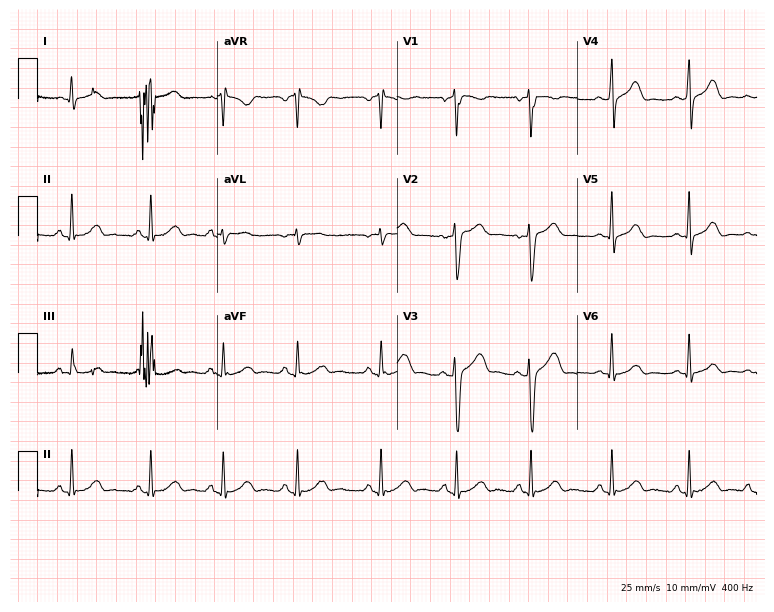
Electrocardiogram (7.3-second recording at 400 Hz), a woman, 26 years old. Overall reading on record: normal ECG.